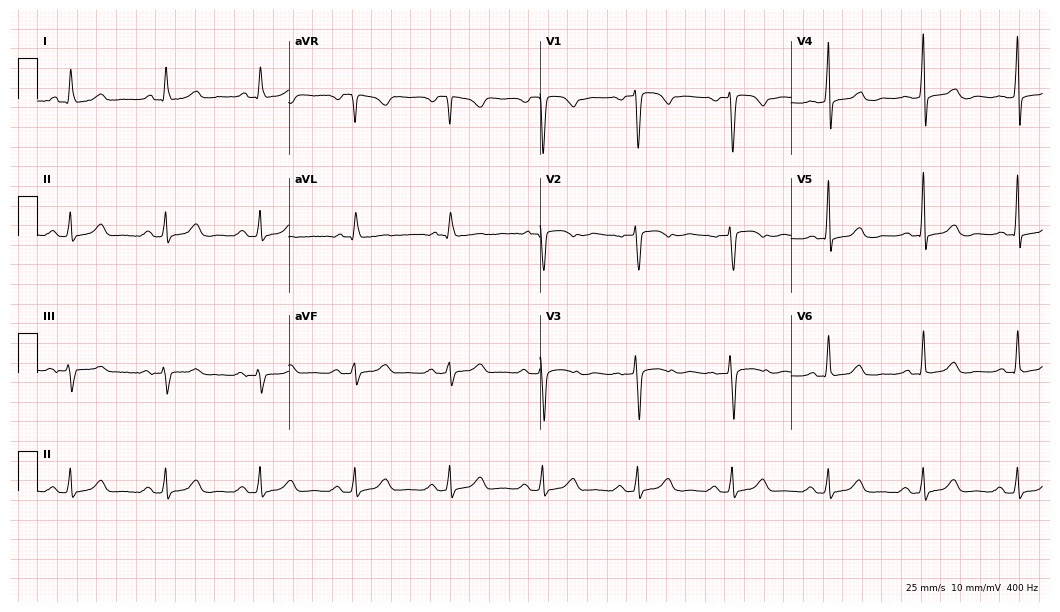
12-lead ECG from a 51-year-old woman. Screened for six findings — first-degree AV block, right bundle branch block, left bundle branch block, sinus bradycardia, atrial fibrillation, sinus tachycardia — none is recorded.